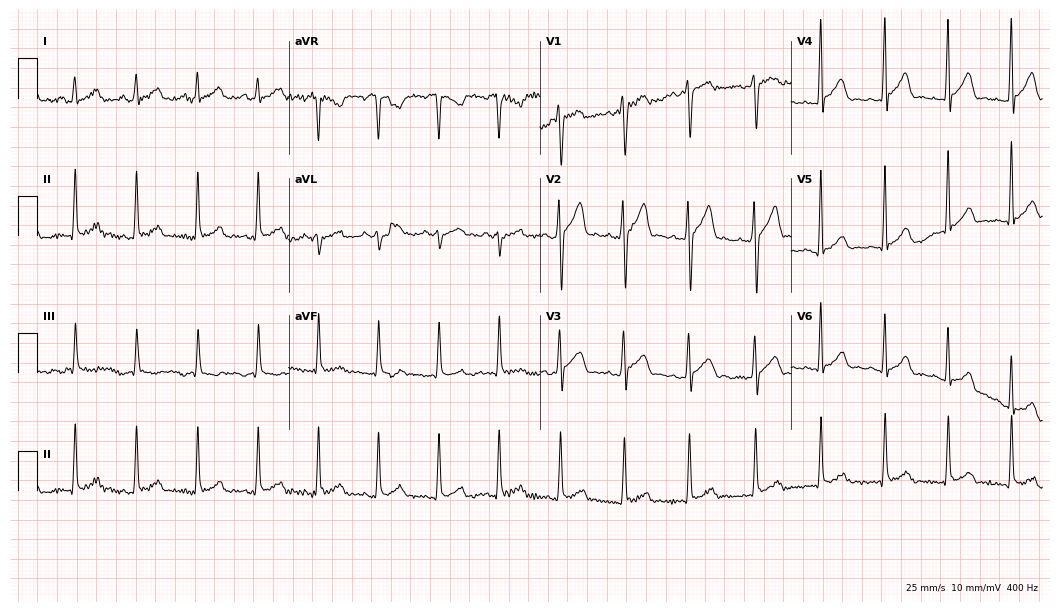
ECG — a man, 31 years old. Screened for six findings — first-degree AV block, right bundle branch block (RBBB), left bundle branch block (LBBB), sinus bradycardia, atrial fibrillation (AF), sinus tachycardia — none is recorded. Only these six findings were labelled.